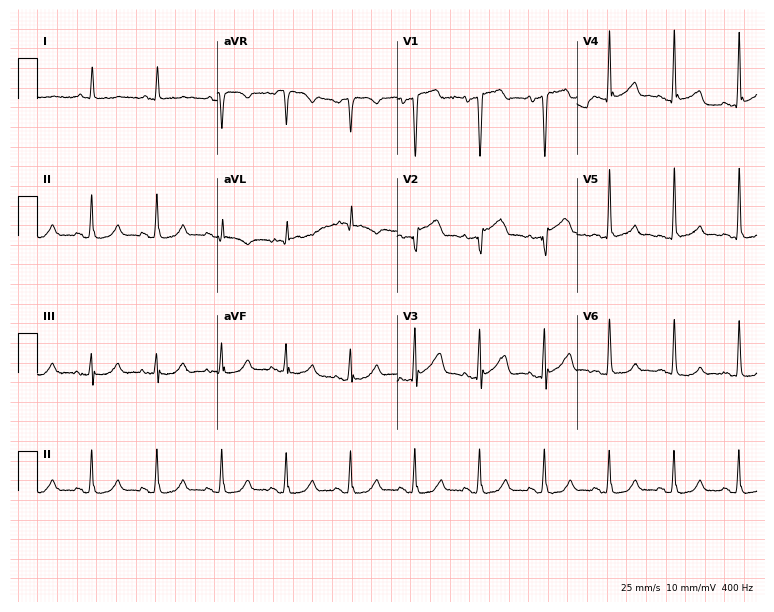
Standard 12-lead ECG recorded from a male, 54 years old (7.3-second recording at 400 Hz). None of these six findings is recorded: first-degree AV block, right bundle branch block, left bundle branch block, sinus bradycardia, atrial fibrillation, sinus tachycardia.